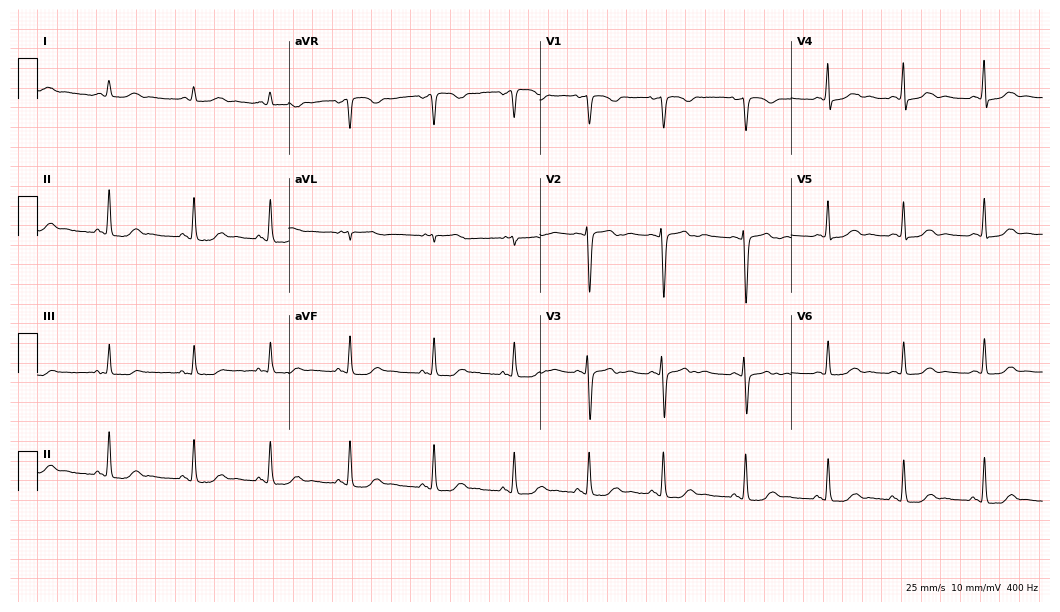
Standard 12-lead ECG recorded from a 24-year-old female patient. Read as a normal ECG.